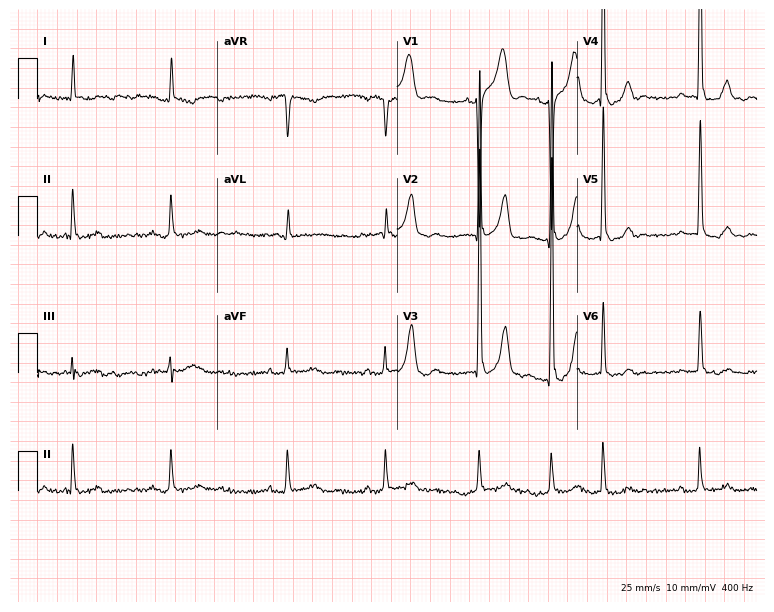
Resting 12-lead electrocardiogram. Patient: an 82-year-old man. None of these six findings is recorded: first-degree AV block, right bundle branch block, left bundle branch block, sinus bradycardia, atrial fibrillation, sinus tachycardia.